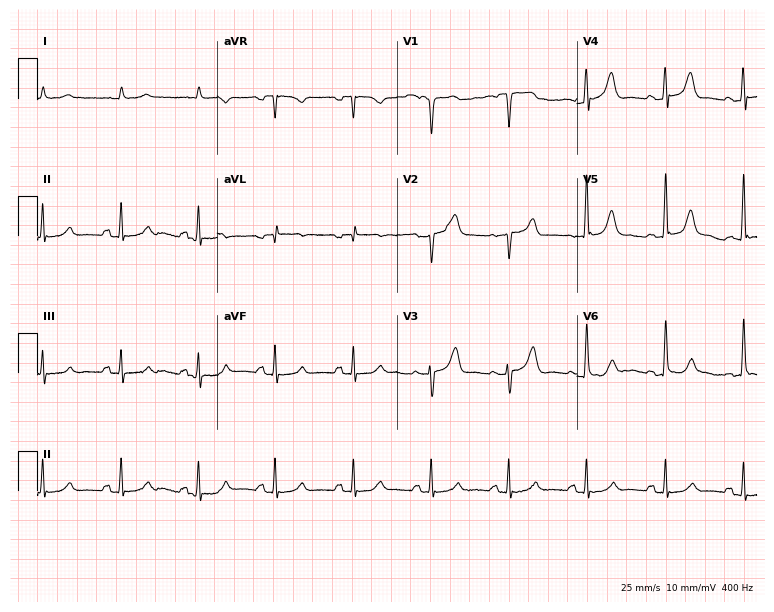
Resting 12-lead electrocardiogram (7.3-second recording at 400 Hz). Patient: a 79-year-old male. None of these six findings is recorded: first-degree AV block, right bundle branch block, left bundle branch block, sinus bradycardia, atrial fibrillation, sinus tachycardia. Only these six findings were labelled.